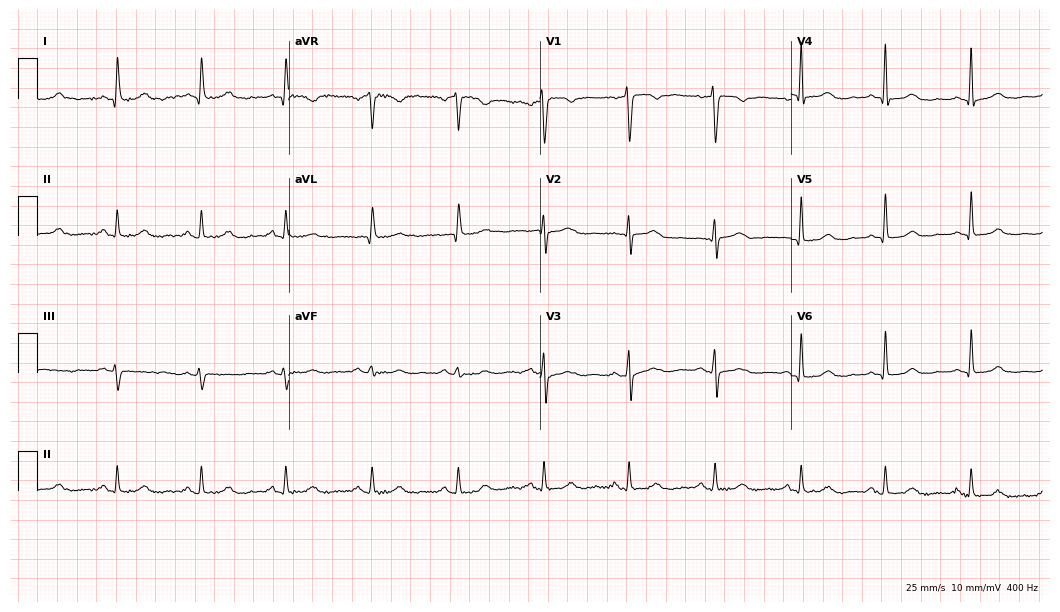
Resting 12-lead electrocardiogram. Patient: a woman, 51 years old. Read as a normal ECG.